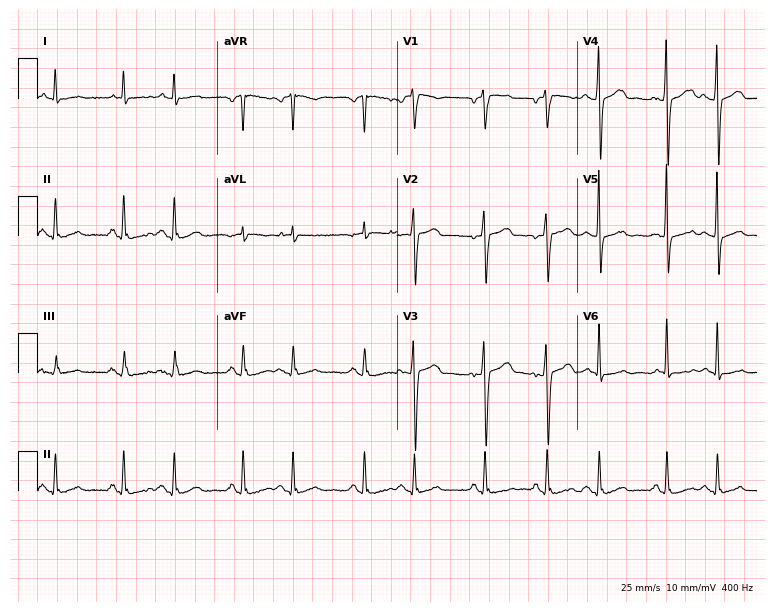
Electrocardiogram, a 75-year-old man. Of the six screened findings (first-degree AV block, right bundle branch block (RBBB), left bundle branch block (LBBB), sinus bradycardia, atrial fibrillation (AF), sinus tachycardia), none is recorded.